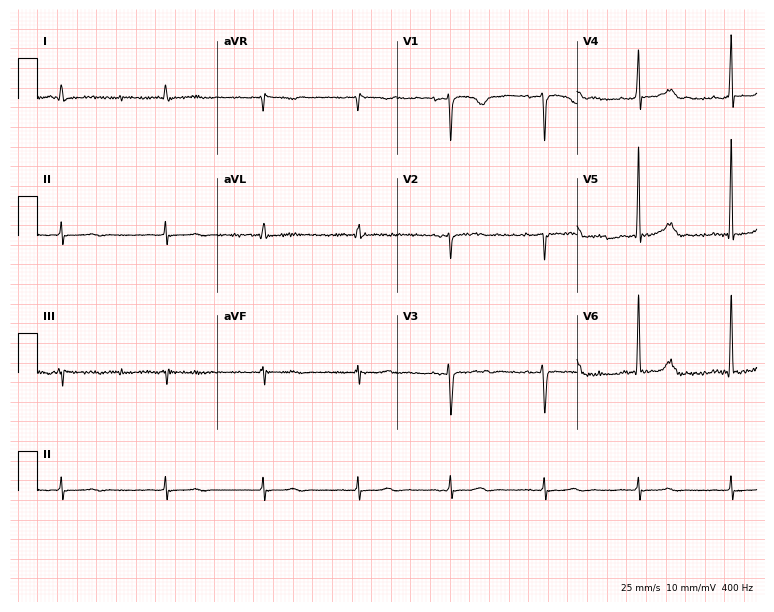
ECG — a woman, 48 years old. Screened for six findings — first-degree AV block, right bundle branch block, left bundle branch block, sinus bradycardia, atrial fibrillation, sinus tachycardia — none is recorded.